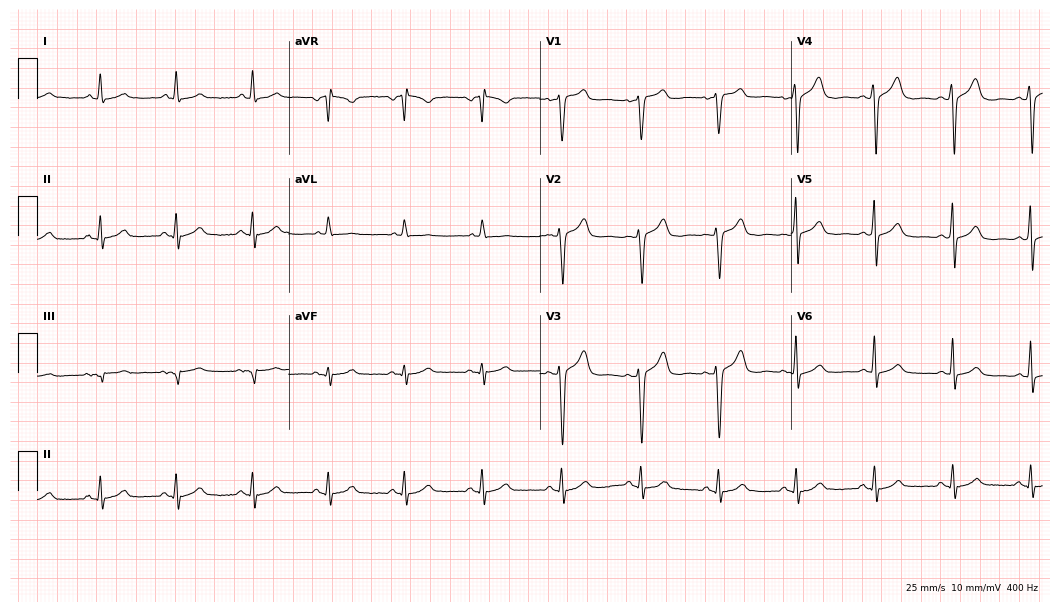
Standard 12-lead ECG recorded from a 62-year-old male patient (10.2-second recording at 400 Hz). Read as a normal ECG.